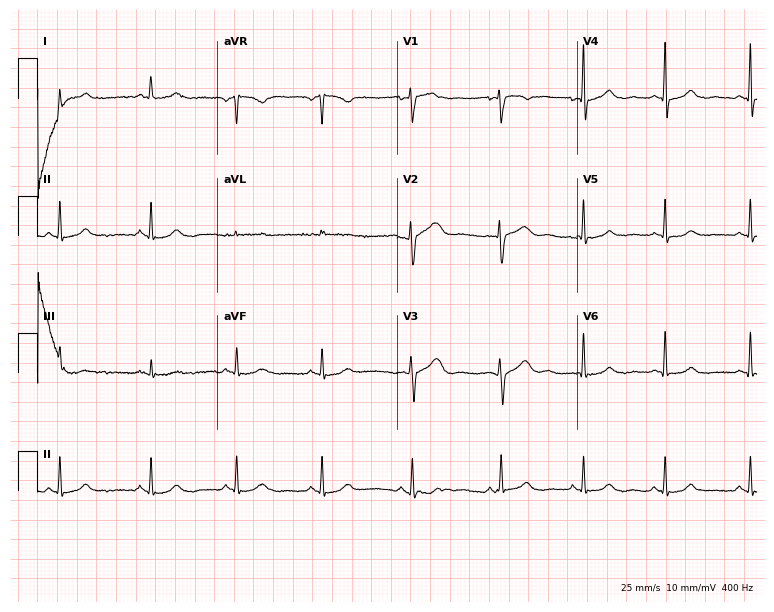
12-lead ECG from a 27-year-old woman (7.3-second recording at 400 Hz). Recorded interpretation: within normal limits.